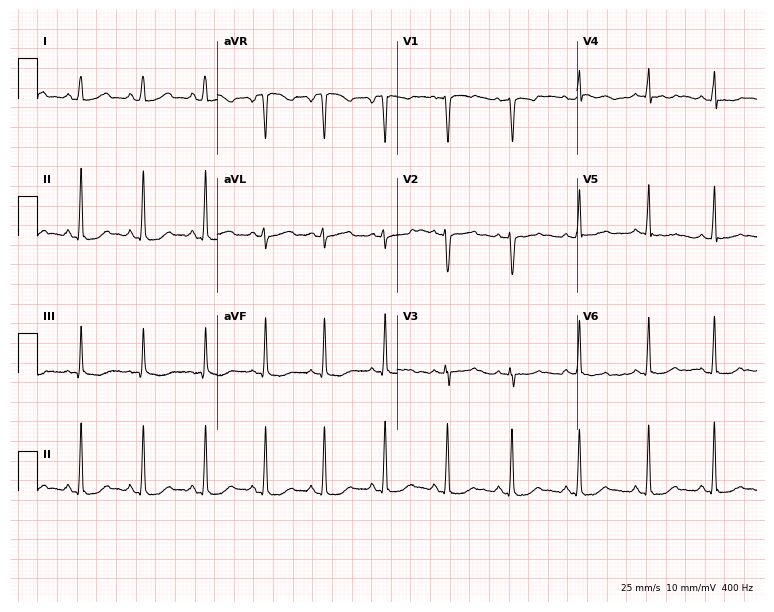
12-lead ECG from a female patient, 25 years old (7.3-second recording at 400 Hz). No first-degree AV block, right bundle branch block (RBBB), left bundle branch block (LBBB), sinus bradycardia, atrial fibrillation (AF) or sinus tachycardia recorded for this tracing. Findings outside these six are not listed.